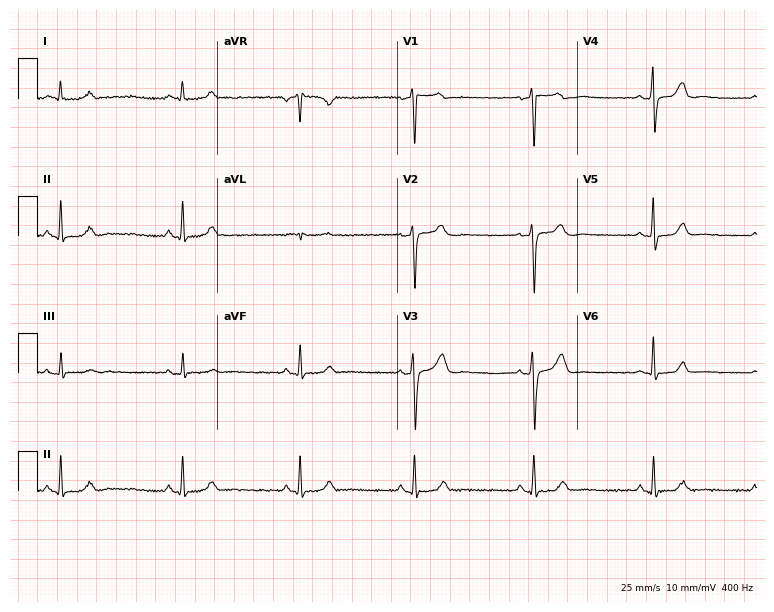
12-lead ECG (7.3-second recording at 400 Hz) from a 41-year-old female. Findings include sinus bradycardia (a sinus rate of 50 beats per minute or less).